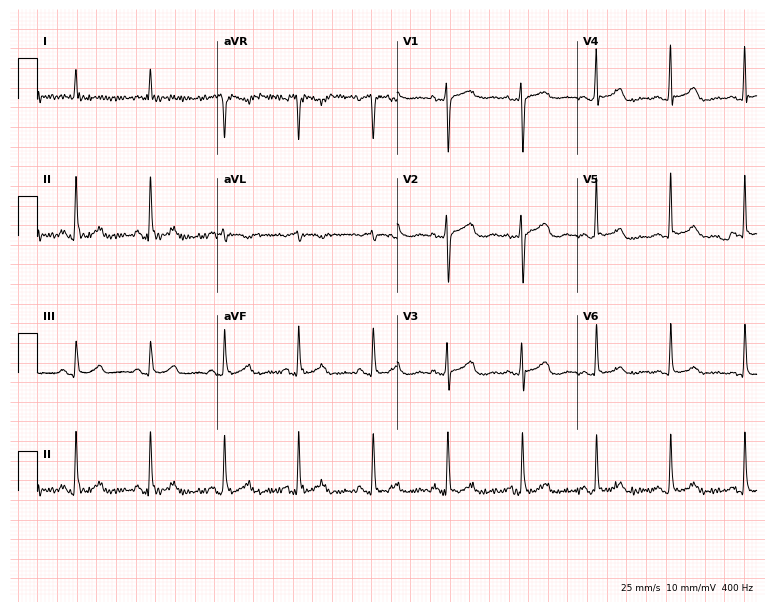
12-lead ECG from a woman, 60 years old (7.3-second recording at 400 Hz). Recorded interpretation: within normal limits.